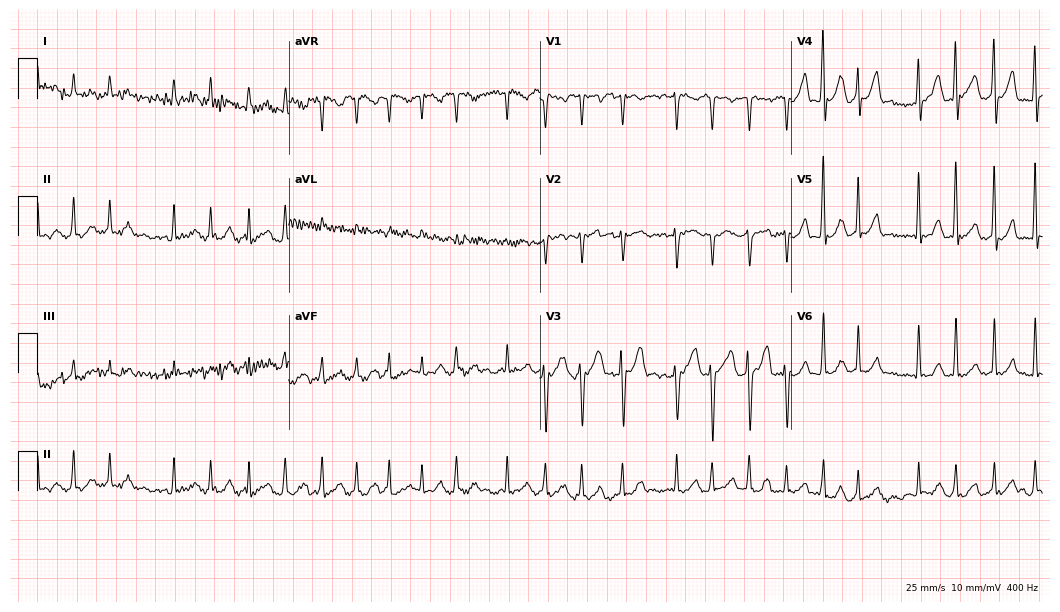
12-lead ECG from a male patient, 53 years old. Shows atrial fibrillation.